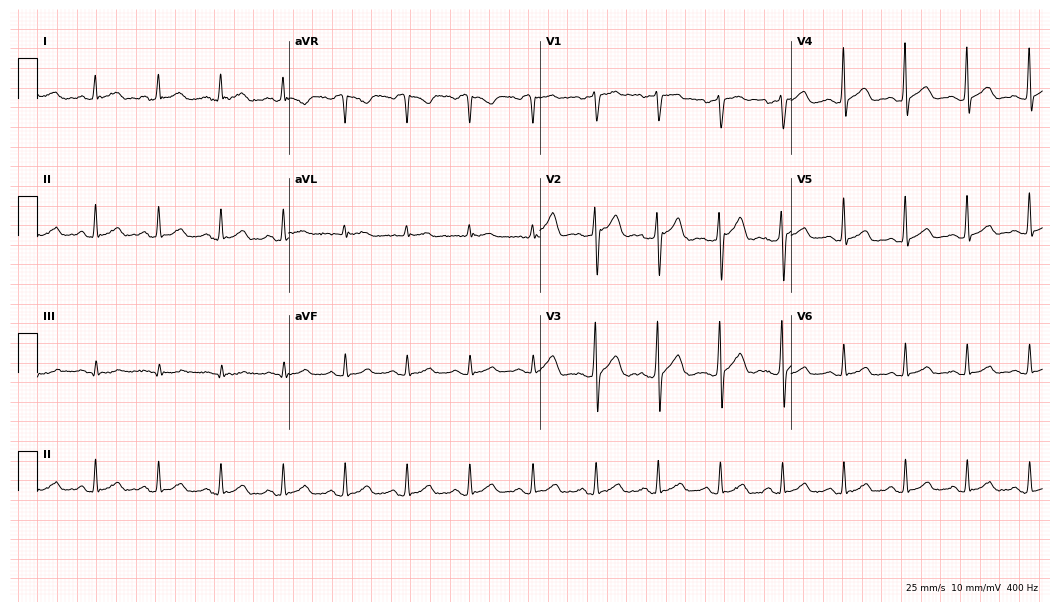
Electrocardiogram (10.2-second recording at 400 Hz), a man, 54 years old. Overall reading on record: normal ECG.